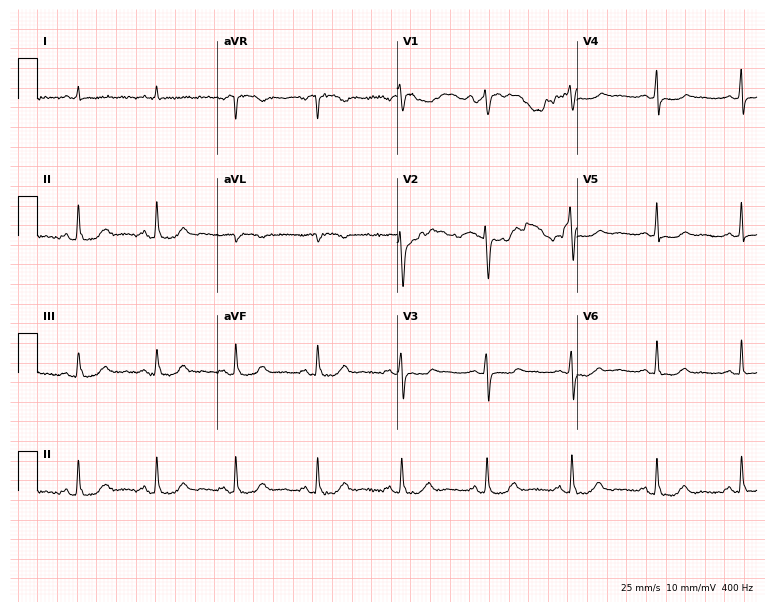
Resting 12-lead electrocardiogram. Patient: a 41-year-old woman. None of these six findings is recorded: first-degree AV block, right bundle branch block, left bundle branch block, sinus bradycardia, atrial fibrillation, sinus tachycardia.